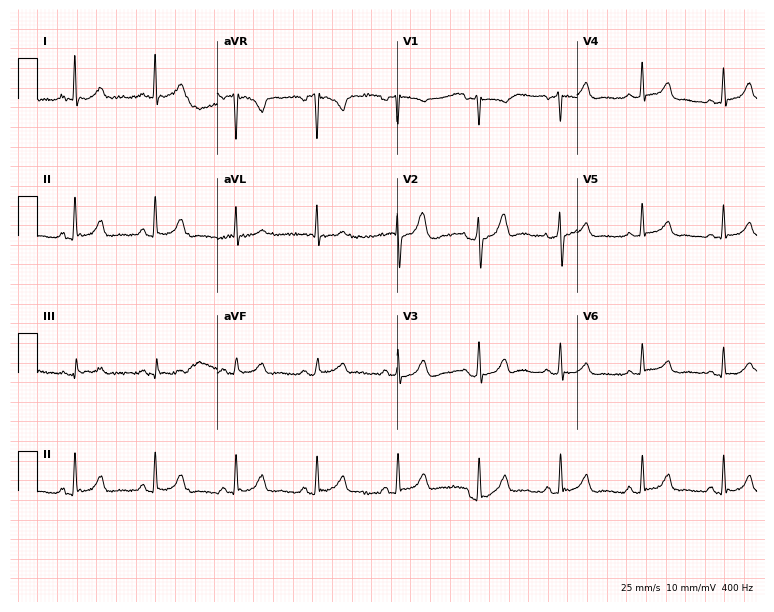
12-lead ECG from a 67-year-old female. Labelled as a normal ECG.